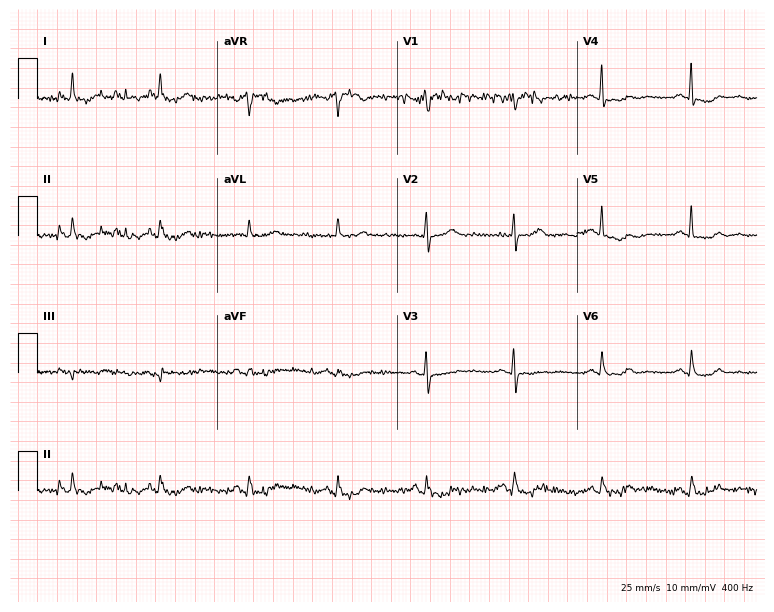
Electrocardiogram (7.3-second recording at 400 Hz), an 85-year-old woman. Of the six screened findings (first-degree AV block, right bundle branch block, left bundle branch block, sinus bradycardia, atrial fibrillation, sinus tachycardia), none is recorded. Other findings, if any, are not listed.